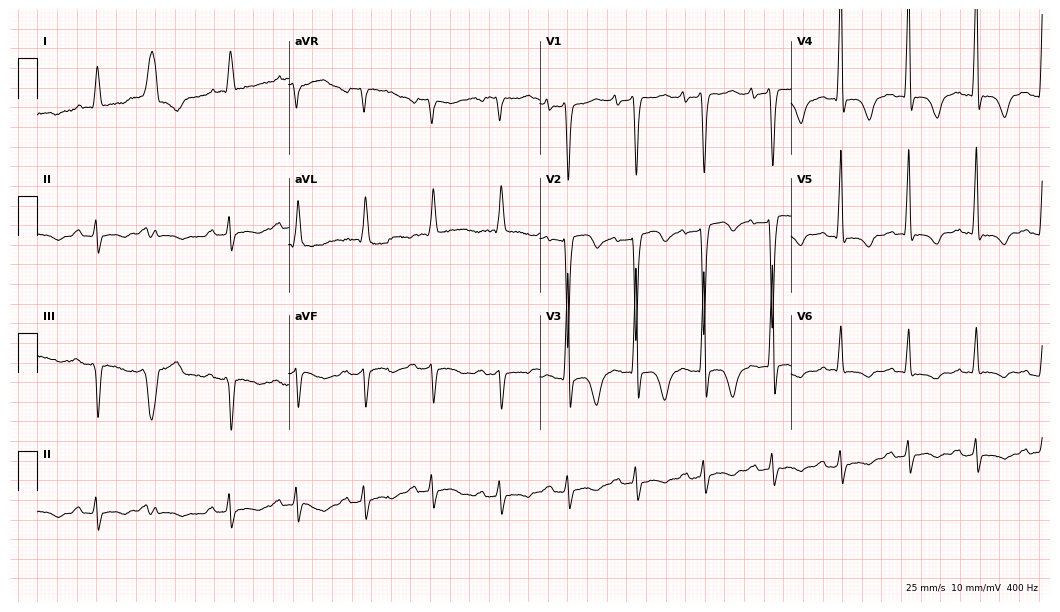
12-lead ECG (10.2-second recording at 400 Hz) from a male, 75 years old. Screened for six findings — first-degree AV block, right bundle branch block, left bundle branch block, sinus bradycardia, atrial fibrillation, sinus tachycardia — none is recorded.